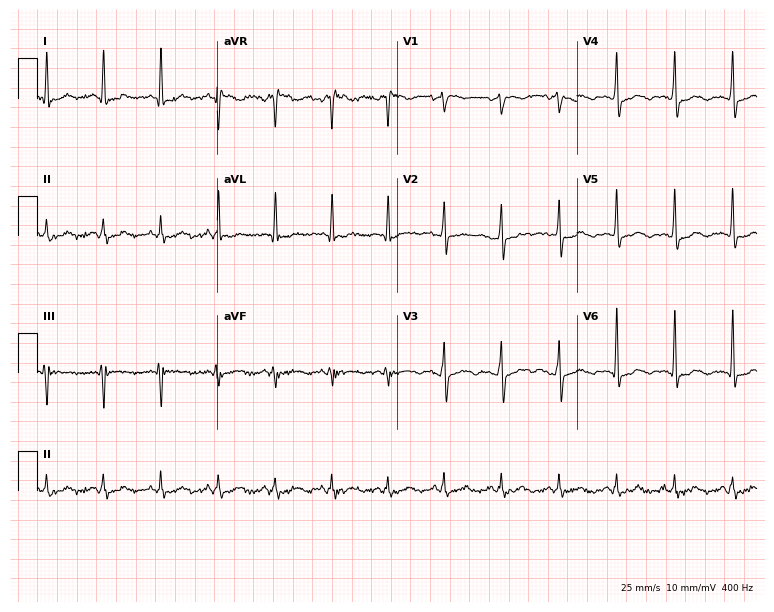
ECG — a 49-year-old female. Screened for six findings — first-degree AV block, right bundle branch block, left bundle branch block, sinus bradycardia, atrial fibrillation, sinus tachycardia — none is recorded. Only these six findings were labelled.